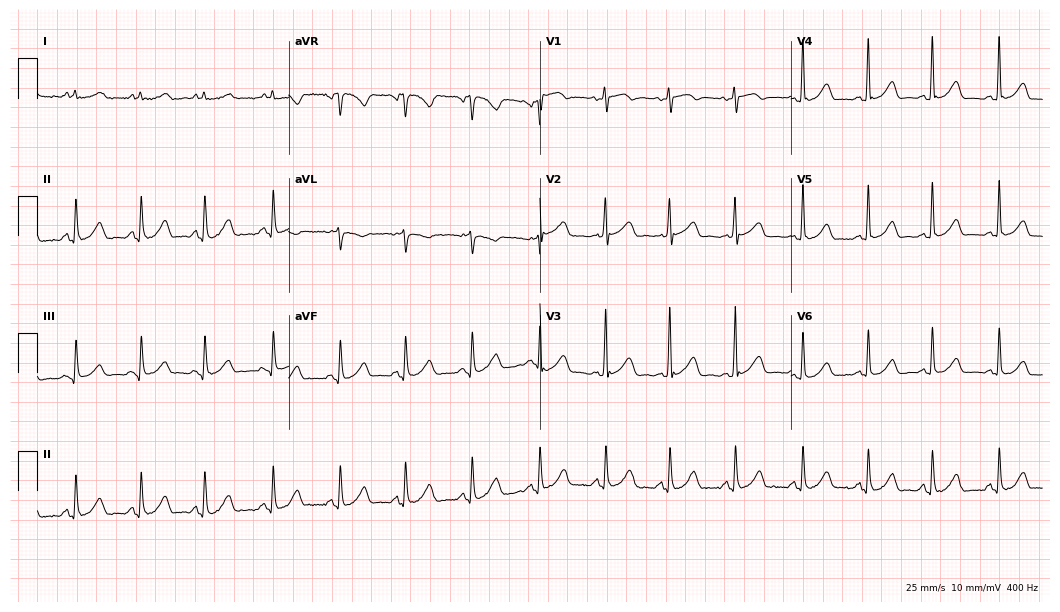
Resting 12-lead electrocardiogram (10.2-second recording at 400 Hz). Patient: a female, 57 years old. None of these six findings is recorded: first-degree AV block, right bundle branch block (RBBB), left bundle branch block (LBBB), sinus bradycardia, atrial fibrillation (AF), sinus tachycardia.